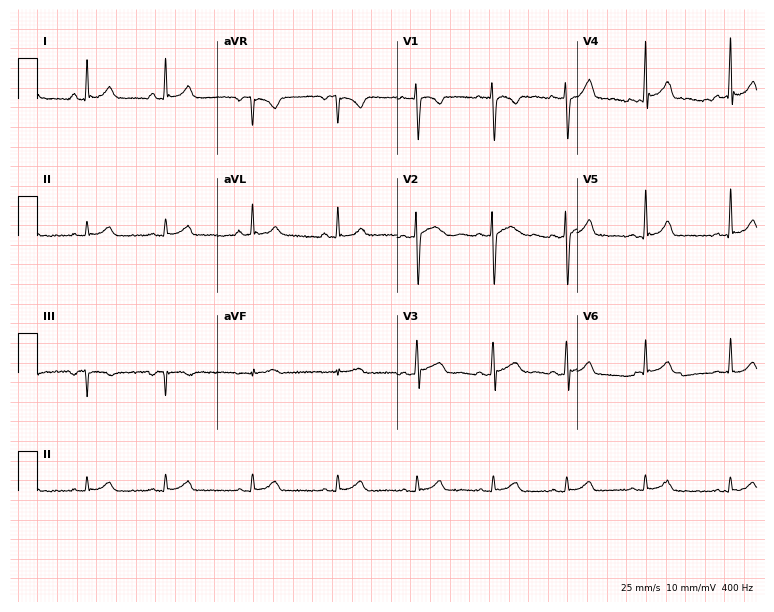
Electrocardiogram, a woman, 18 years old. Overall reading on record: normal ECG.